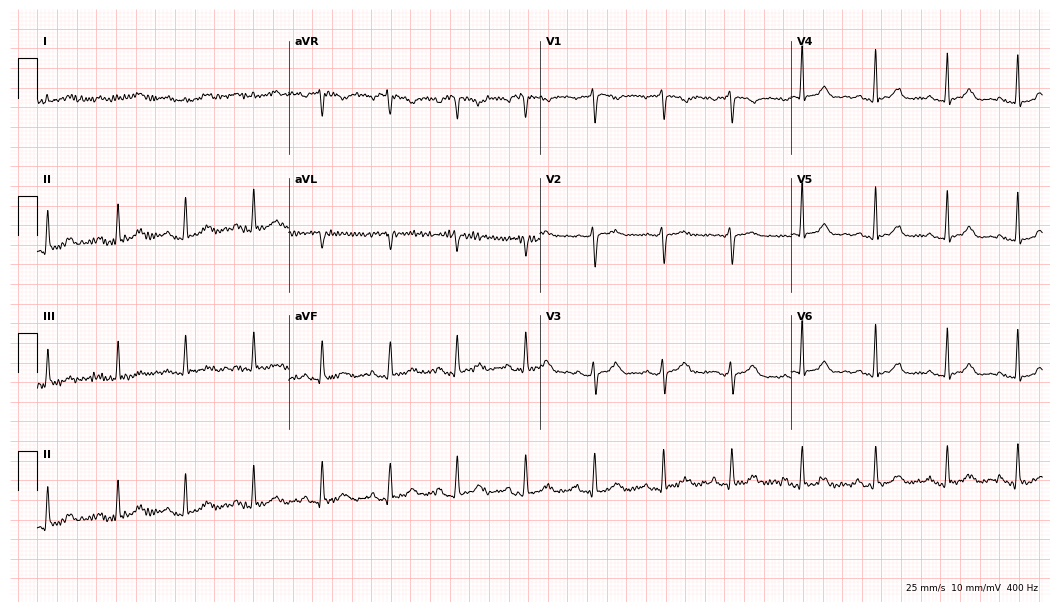
ECG — a 42-year-old woman. Screened for six findings — first-degree AV block, right bundle branch block, left bundle branch block, sinus bradycardia, atrial fibrillation, sinus tachycardia — none is recorded. Other findings, if any, are not listed.